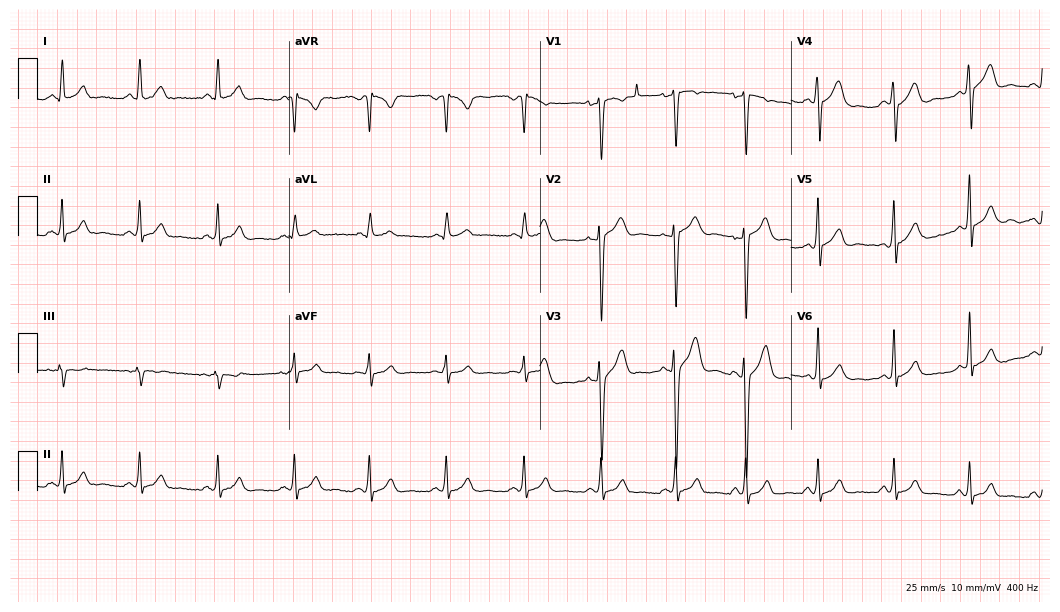
Electrocardiogram, a man, 31 years old. Of the six screened findings (first-degree AV block, right bundle branch block, left bundle branch block, sinus bradycardia, atrial fibrillation, sinus tachycardia), none is recorded.